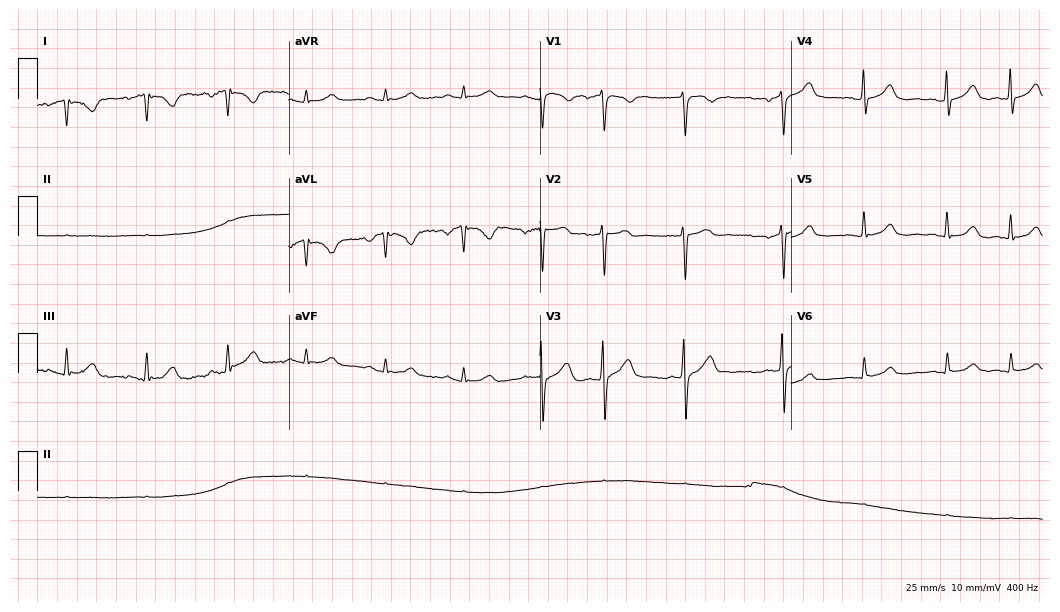
12-lead ECG from an 85-year-old male patient. Screened for six findings — first-degree AV block, right bundle branch block, left bundle branch block, sinus bradycardia, atrial fibrillation, sinus tachycardia — none is recorded. Other findings, if any, are not listed.